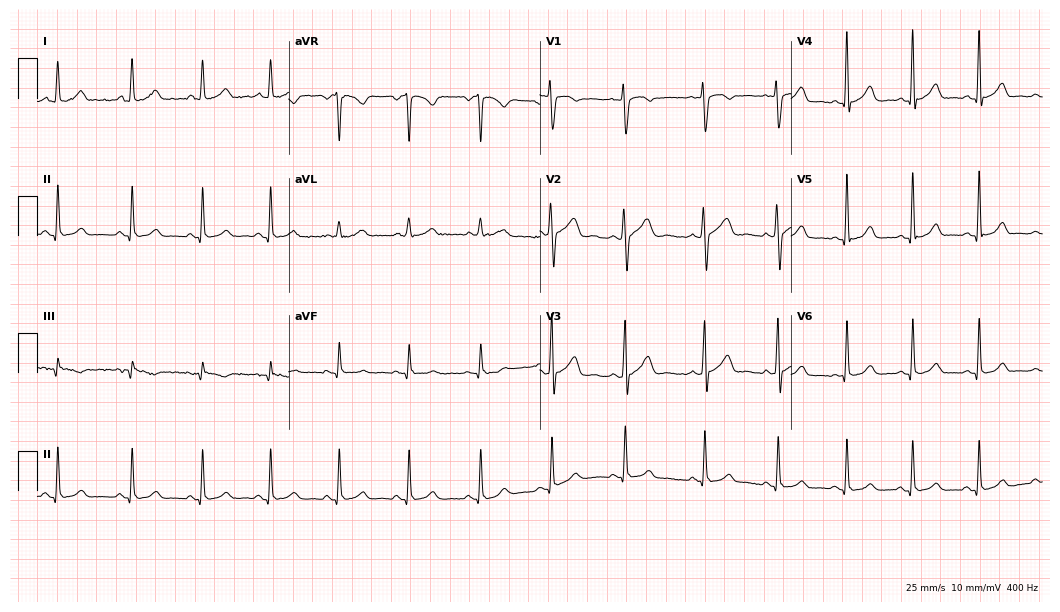
12-lead ECG from a female, 22 years old (10.2-second recording at 400 Hz). Recorded interpretation: within normal limits.